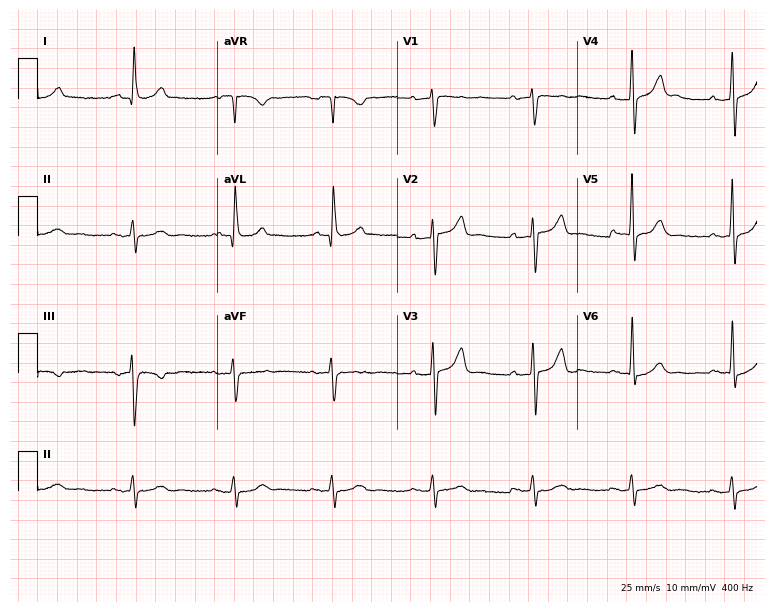
ECG (7.3-second recording at 400 Hz) — a male, 71 years old. Screened for six findings — first-degree AV block, right bundle branch block (RBBB), left bundle branch block (LBBB), sinus bradycardia, atrial fibrillation (AF), sinus tachycardia — none is recorded. Other findings, if any, are not listed.